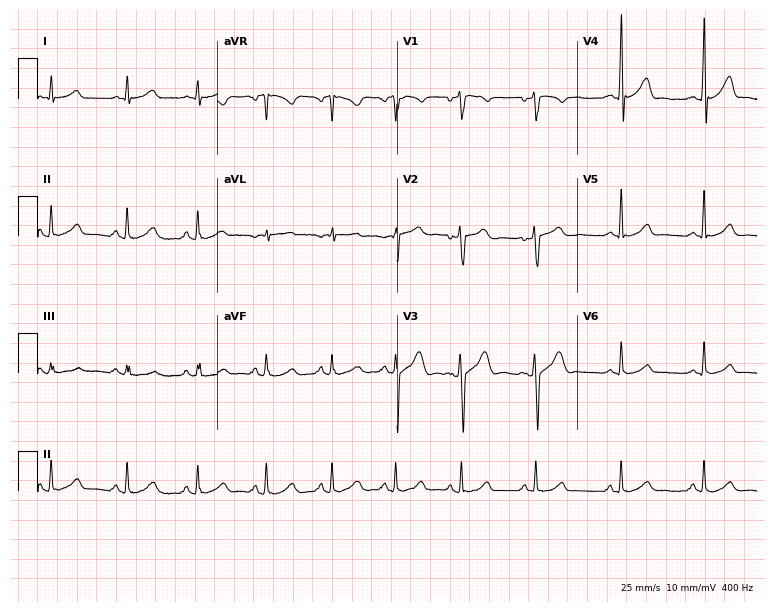
ECG (7.3-second recording at 400 Hz) — a 32-year-old male patient. Screened for six findings — first-degree AV block, right bundle branch block, left bundle branch block, sinus bradycardia, atrial fibrillation, sinus tachycardia — none is recorded.